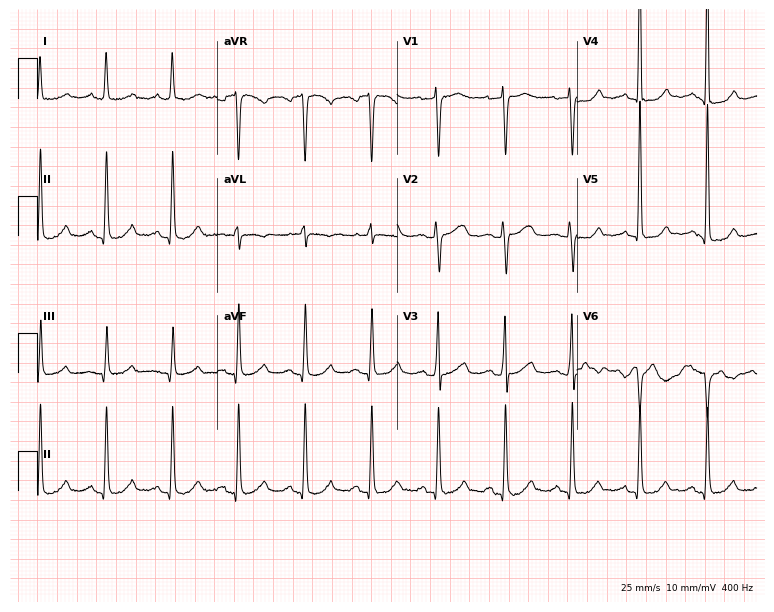
Resting 12-lead electrocardiogram (7.3-second recording at 400 Hz). Patient: an 83-year-old female. None of these six findings is recorded: first-degree AV block, right bundle branch block, left bundle branch block, sinus bradycardia, atrial fibrillation, sinus tachycardia. Only these six findings were labelled.